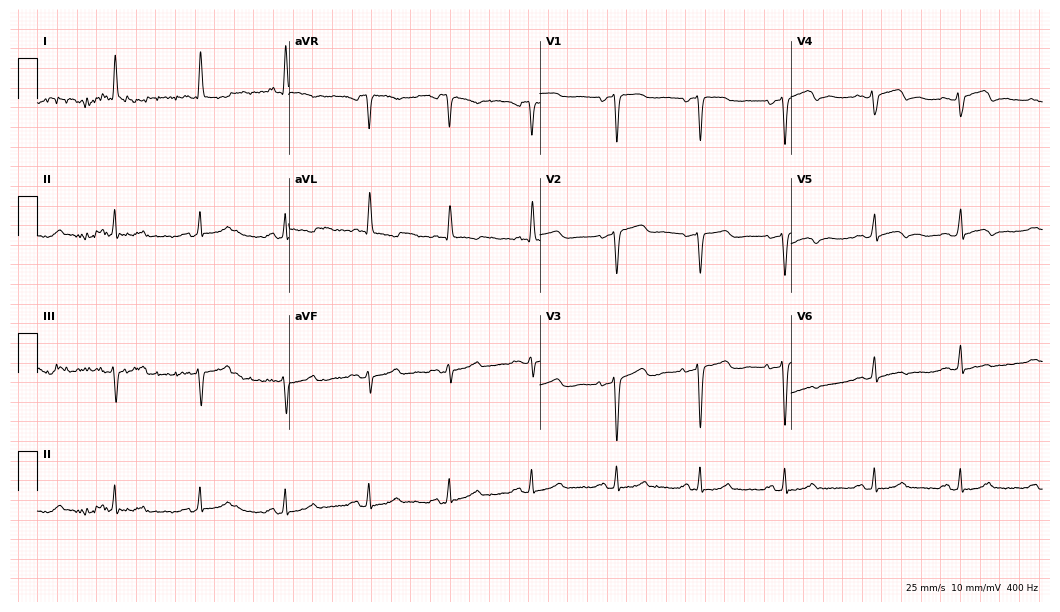
12-lead ECG (10.2-second recording at 400 Hz) from a man, 80 years old. Screened for six findings — first-degree AV block, right bundle branch block, left bundle branch block, sinus bradycardia, atrial fibrillation, sinus tachycardia — none is recorded.